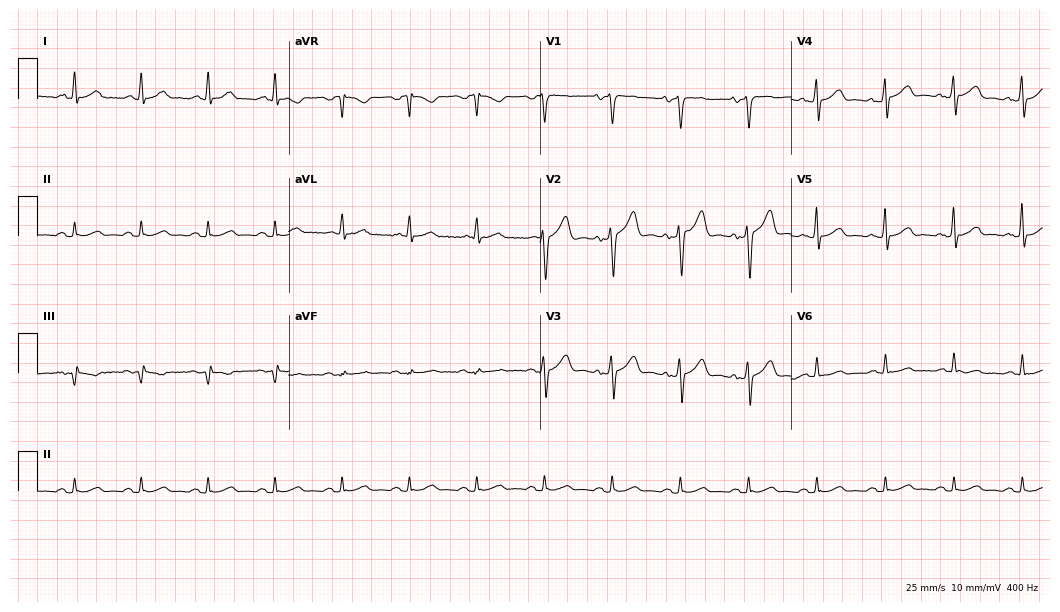
Electrocardiogram, a 58-year-old male. Of the six screened findings (first-degree AV block, right bundle branch block, left bundle branch block, sinus bradycardia, atrial fibrillation, sinus tachycardia), none is recorded. Only these six findings were labelled.